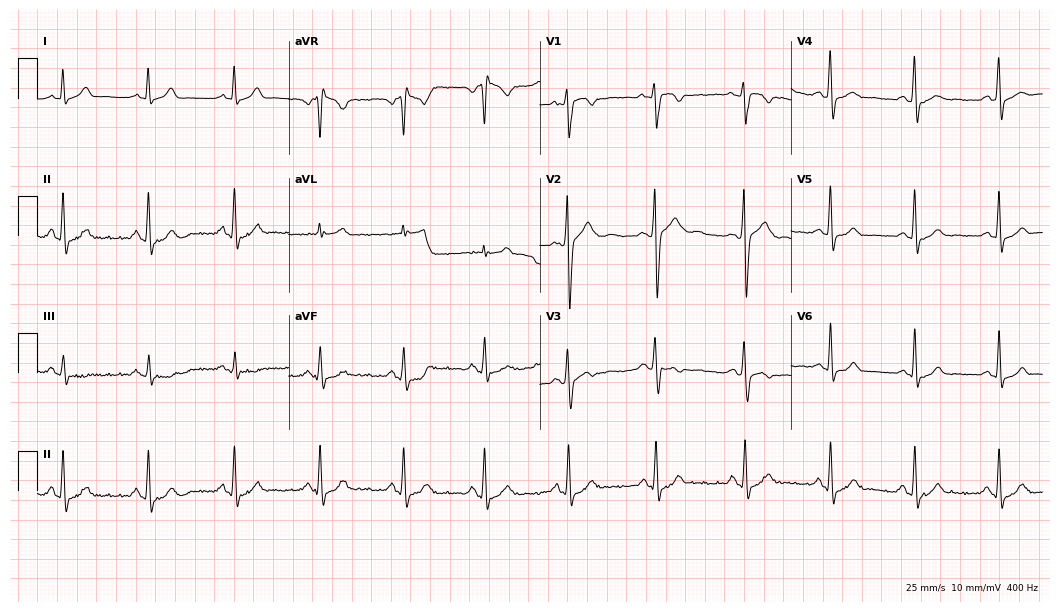
12-lead ECG (10.2-second recording at 400 Hz) from a 24-year-old male. Screened for six findings — first-degree AV block, right bundle branch block, left bundle branch block, sinus bradycardia, atrial fibrillation, sinus tachycardia — none is recorded. Only these six findings were labelled.